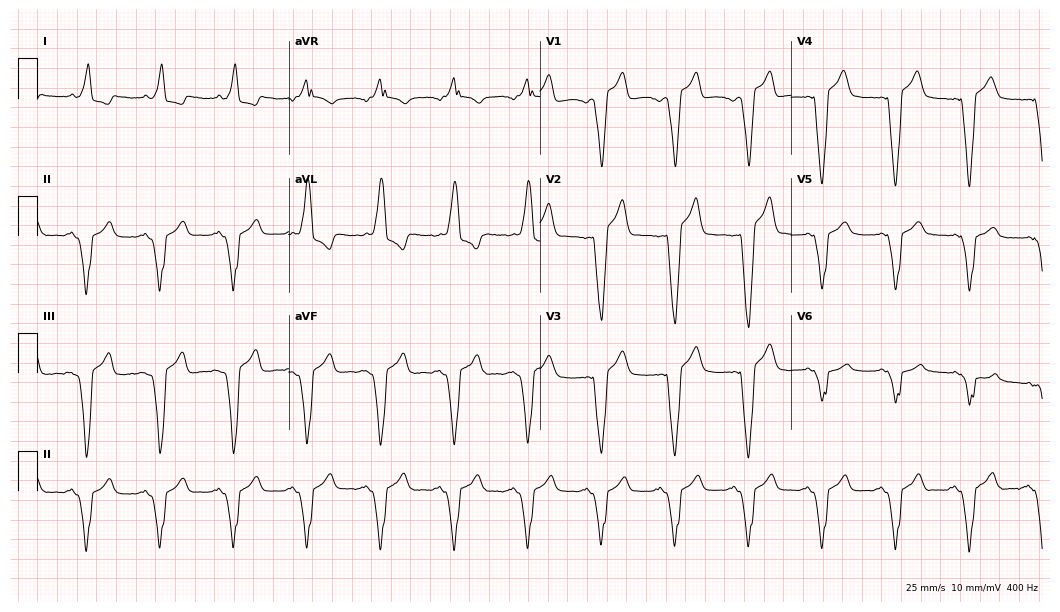
Standard 12-lead ECG recorded from a 60-year-old man. None of these six findings is recorded: first-degree AV block, right bundle branch block (RBBB), left bundle branch block (LBBB), sinus bradycardia, atrial fibrillation (AF), sinus tachycardia.